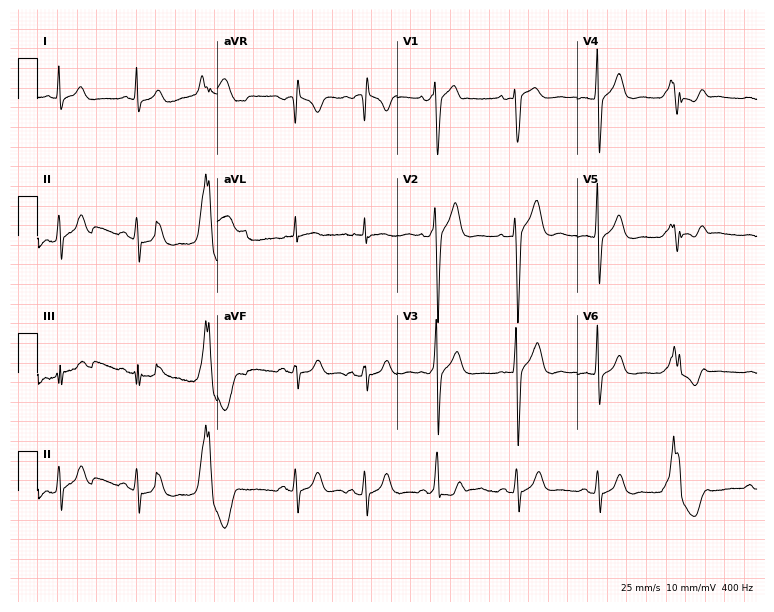
12-lead ECG (7.3-second recording at 400 Hz) from a 21-year-old man. Screened for six findings — first-degree AV block, right bundle branch block, left bundle branch block, sinus bradycardia, atrial fibrillation, sinus tachycardia — none is recorded. Findings outside these six are not listed.